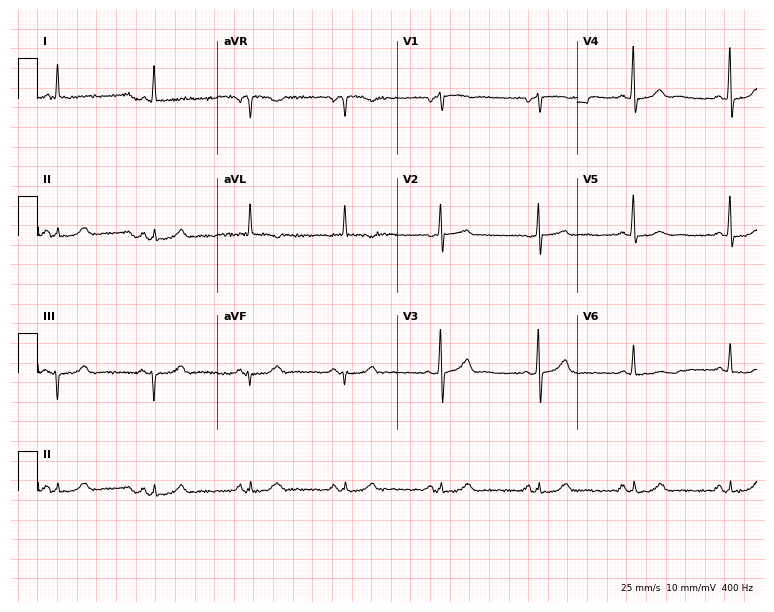
12-lead ECG from a man, 80 years old. Screened for six findings — first-degree AV block, right bundle branch block, left bundle branch block, sinus bradycardia, atrial fibrillation, sinus tachycardia — none is recorded.